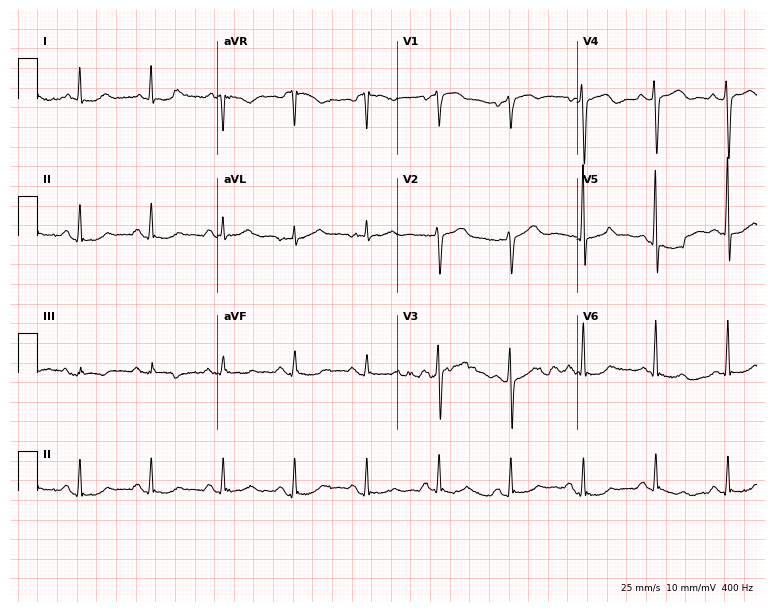
Electrocardiogram (7.3-second recording at 400 Hz), a 67-year-old male patient. Of the six screened findings (first-degree AV block, right bundle branch block (RBBB), left bundle branch block (LBBB), sinus bradycardia, atrial fibrillation (AF), sinus tachycardia), none is recorded.